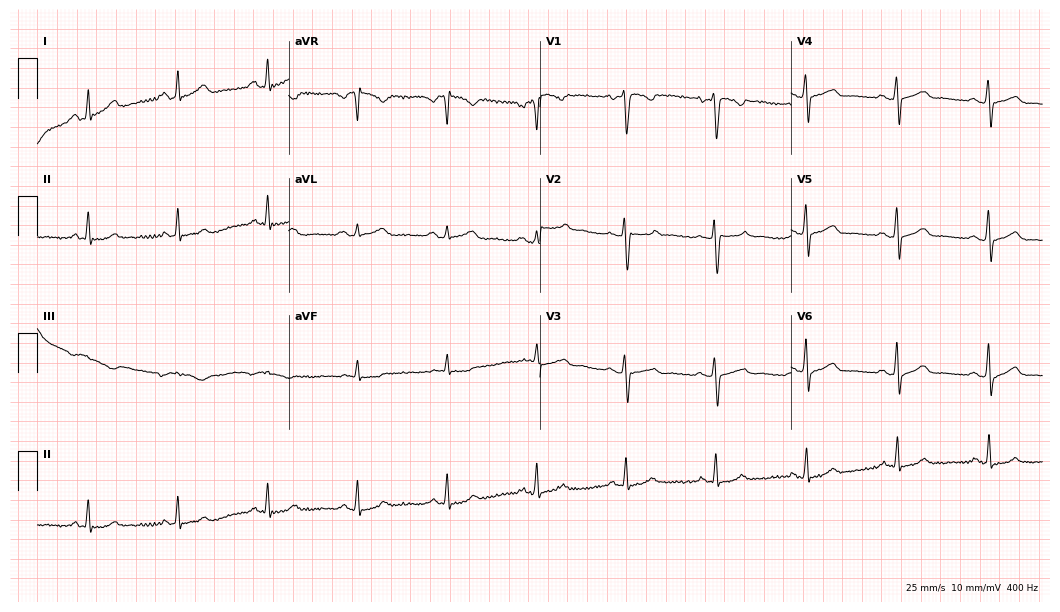
Electrocardiogram (10.2-second recording at 400 Hz), a 73-year-old female patient. Overall reading on record: normal ECG.